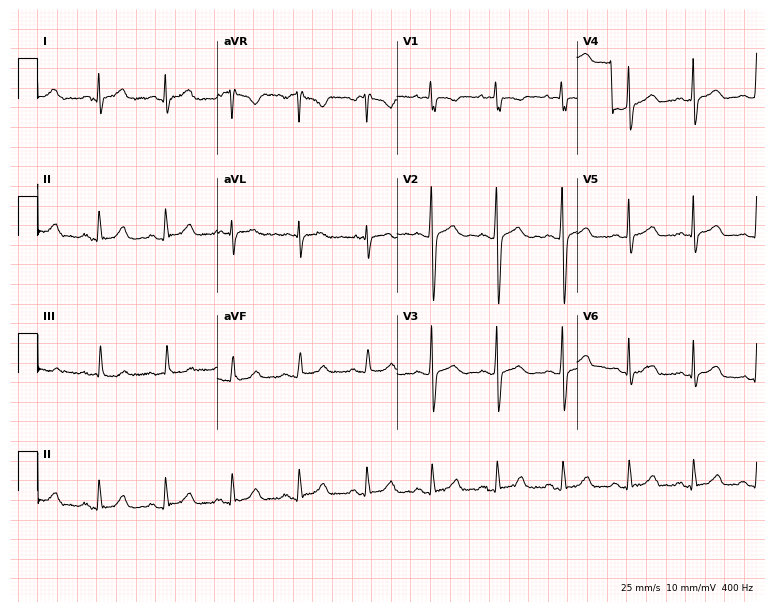
Resting 12-lead electrocardiogram (7.3-second recording at 400 Hz). Patient: a 19-year-old female. None of these six findings is recorded: first-degree AV block, right bundle branch block (RBBB), left bundle branch block (LBBB), sinus bradycardia, atrial fibrillation (AF), sinus tachycardia. Only these six findings were labelled.